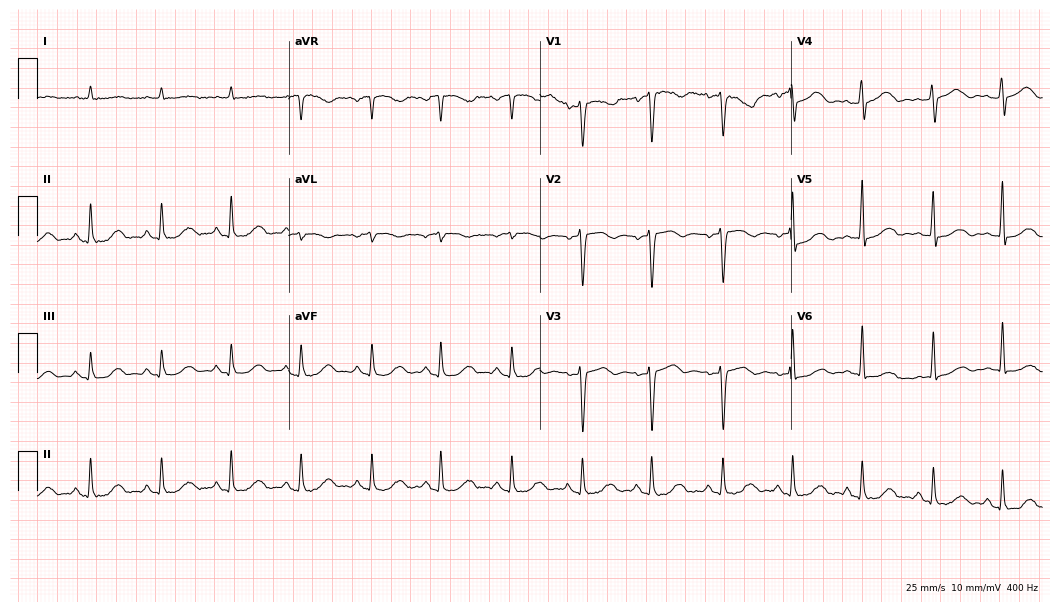
12-lead ECG from a male, 85 years old. No first-degree AV block, right bundle branch block, left bundle branch block, sinus bradycardia, atrial fibrillation or sinus tachycardia recorded for this tracing.